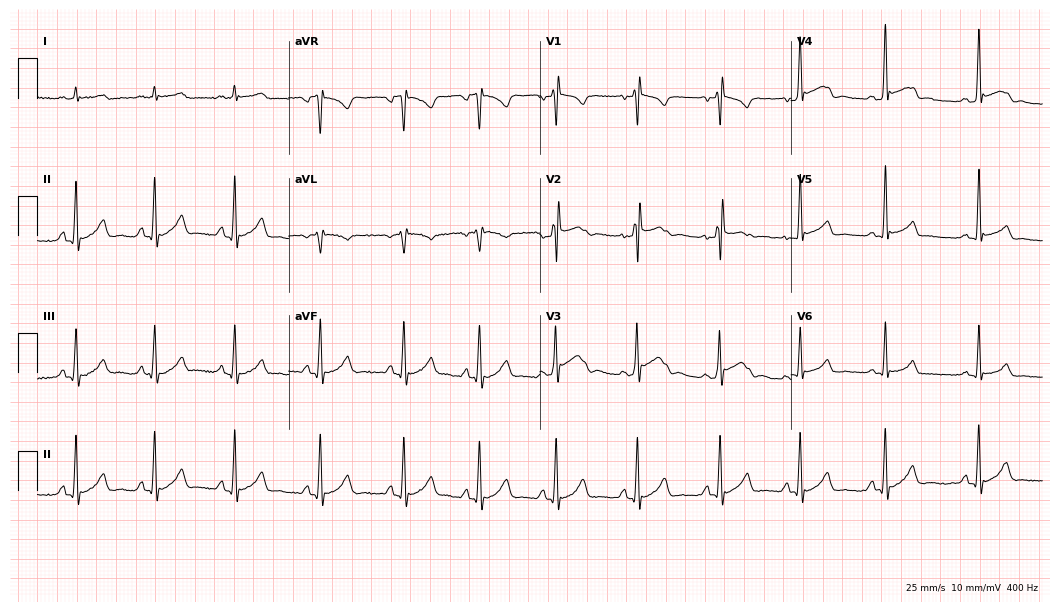
Standard 12-lead ECG recorded from a male, 23 years old (10.2-second recording at 400 Hz). None of these six findings is recorded: first-degree AV block, right bundle branch block (RBBB), left bundle branch block (LBBB), sinus bradycardia, atrial fibrillation (AF), sinus tachycardia.